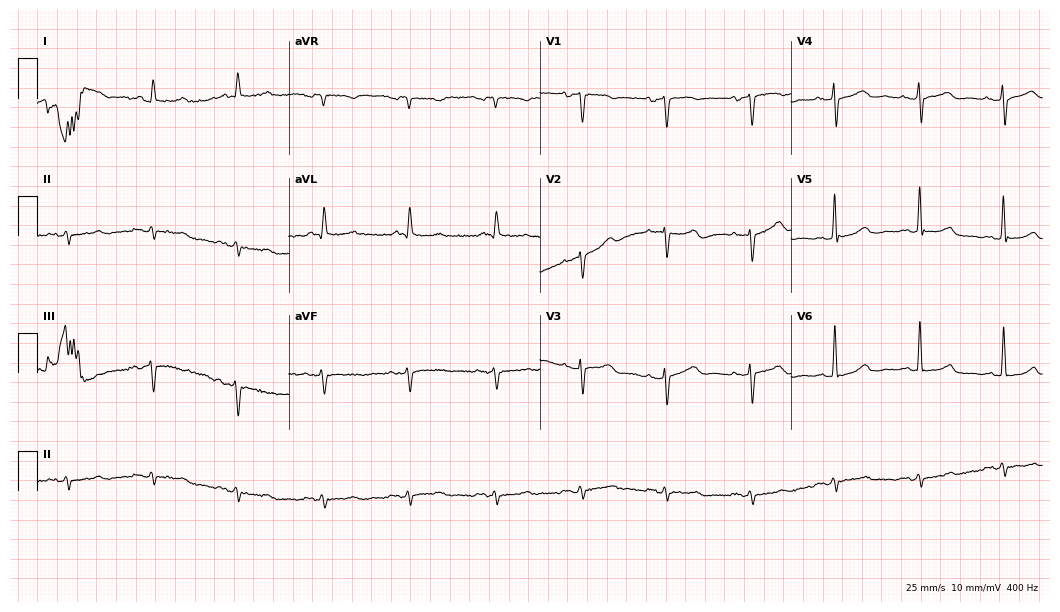
ECG (10.2-second recording at 400 Hz) — a 79-year-old male. Labelled as a normal ECG.